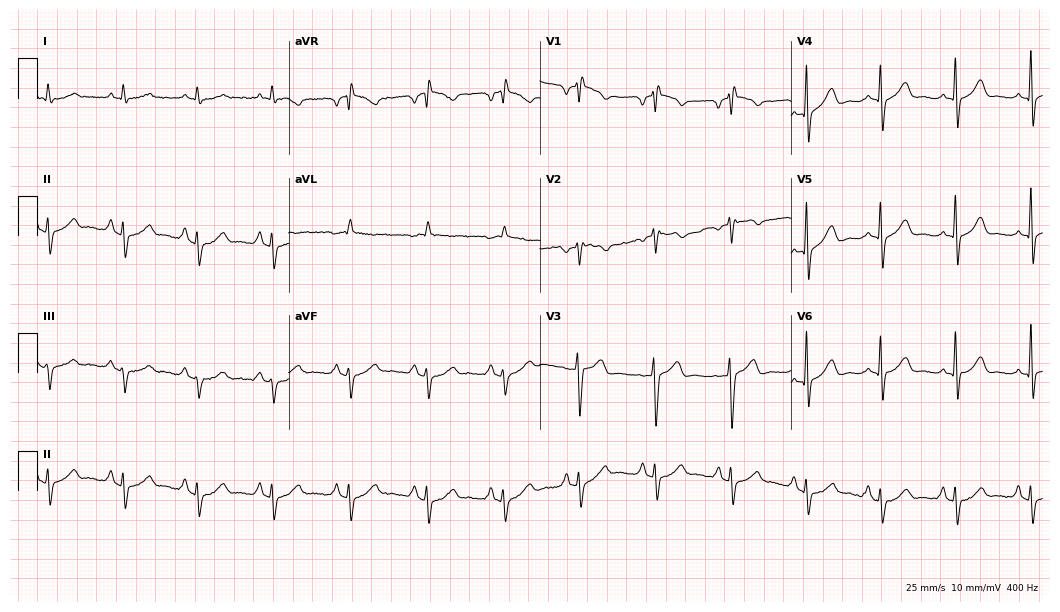
Standard 12-lead ECG recorded from a 61-year-old male (10.2-second recording at 400 Hz). None of these six findings is recorded: first-degree AV block, right bundle branch block, left bundle branch block, sinus bradycardia, atrial fibrillation, sinus tachycardia. Findings outside these six are not listed.